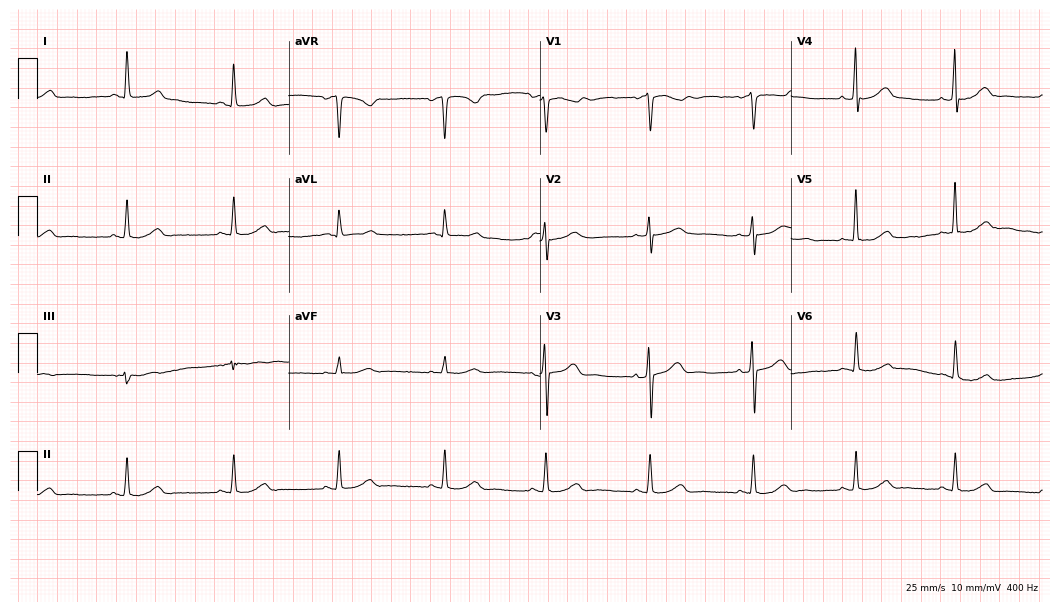
ECG (10.2-second recording at 400 Hz) — a 41-year-old female. Labelled as a normal ECG.